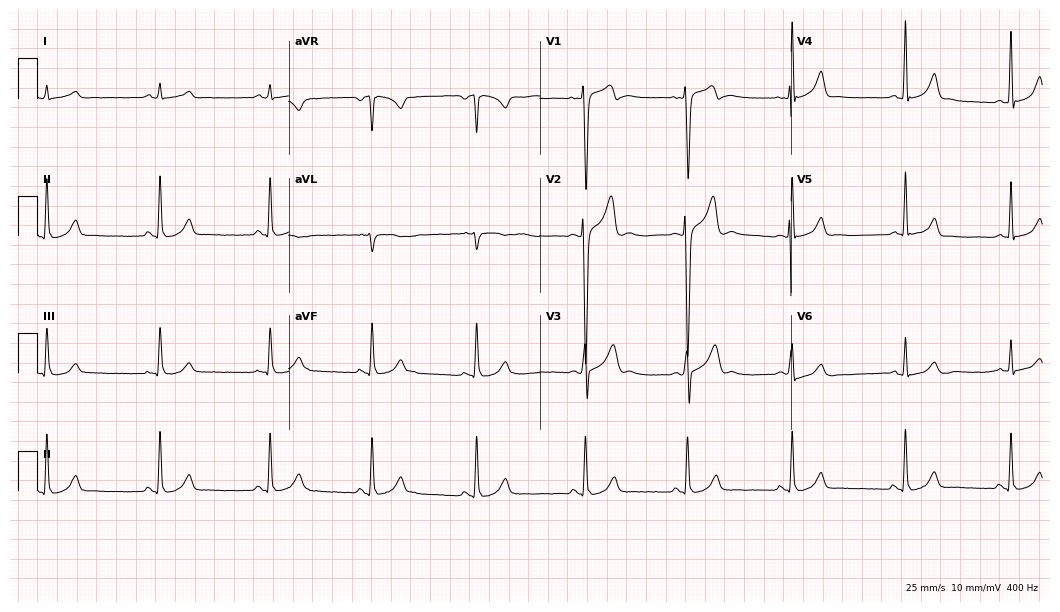
Resting 12-lead electrocardiogram (10.2-second recording at 400 Hz). Patient: a 22-year-old man. None of these six findings is recorded: first-degree AV block, right bundle branch block, left bundle branch block, sinus bradycardia, atrial fibrillation, sinus tachycardia.